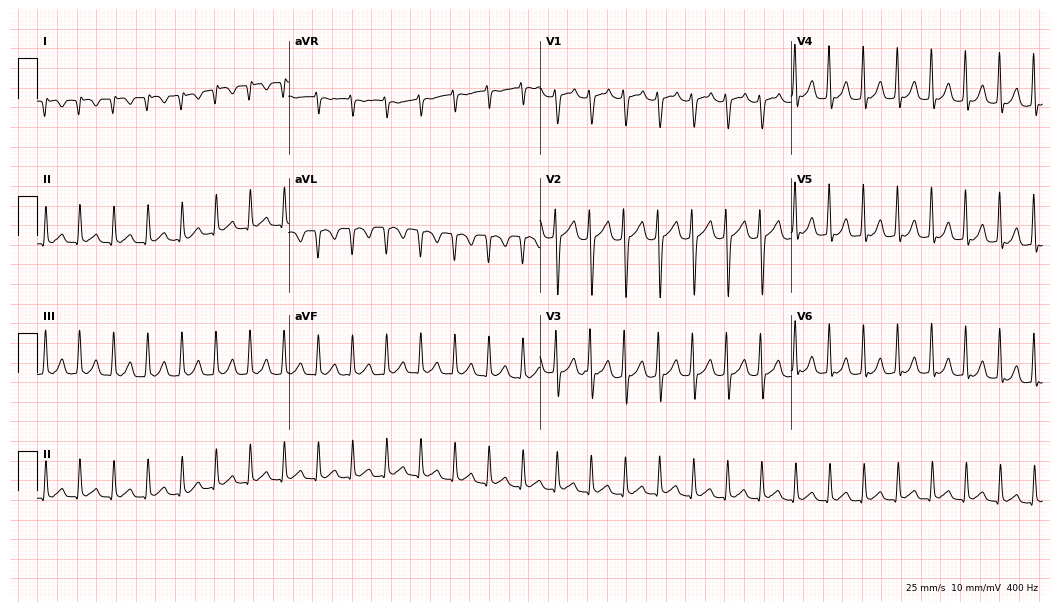
Standard 12-lead ECG recorded from a woman, 21 years old (10.2-second recording at 400 Hz). None of these six findings is recorded: first-degree AV block, right bundle branch block (RBBB), left bundle branch block (LBBB), sinus bradycardia, atrial fibrillation (AF), sinus tachycardia. Only these six findings were labelled.